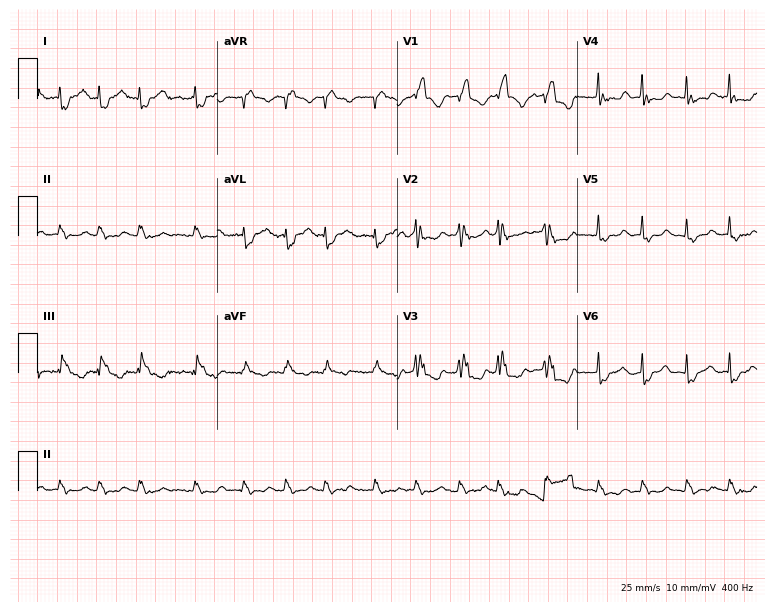
12-lead ECG from an 87-year-old female patient. Shows right bundle branch block, atrial fibrillation.